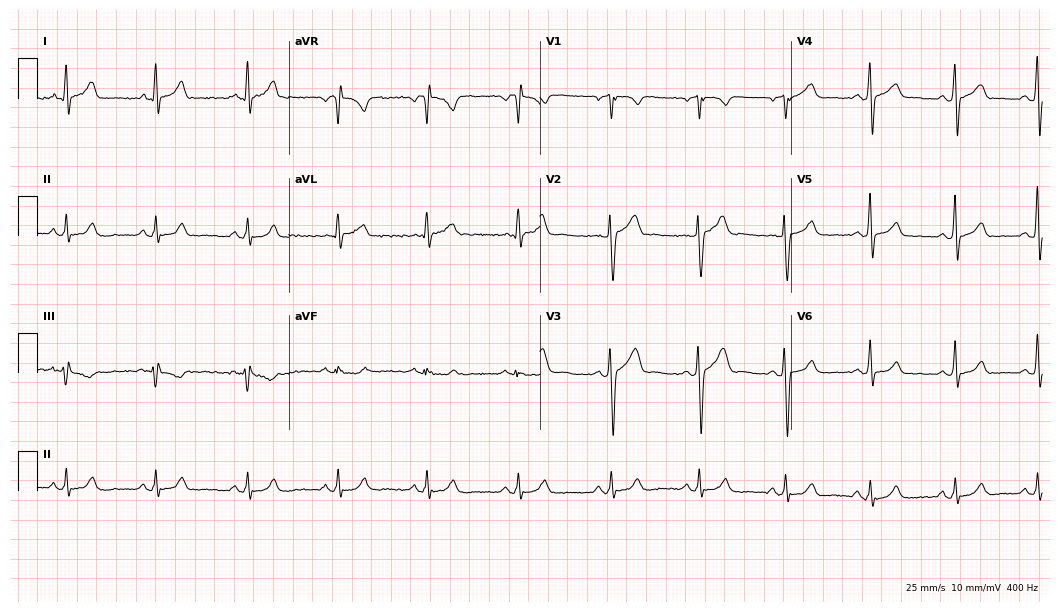
12-lead ECG from a man, 43 years old. Recorded interpretation: within normal limits.